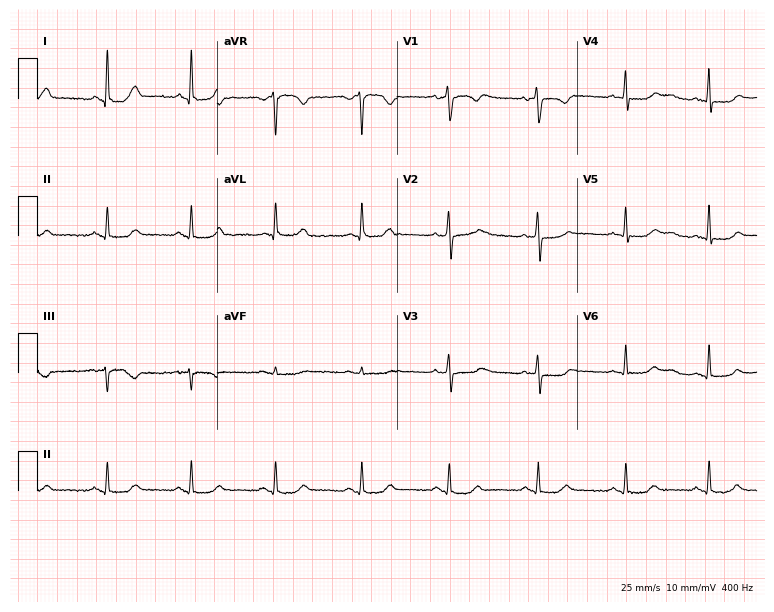
Standard 12-lead ECG recorded from a woman, 46 years old (7.3-second recording at 400 Hz). None of these six findings is recorded: first-degree AV block, right bundle branch block (RBBB), left bundle branch block (LBBB), sinus bradycardia, atrial fibrillation (AF), sinus tachycardia.